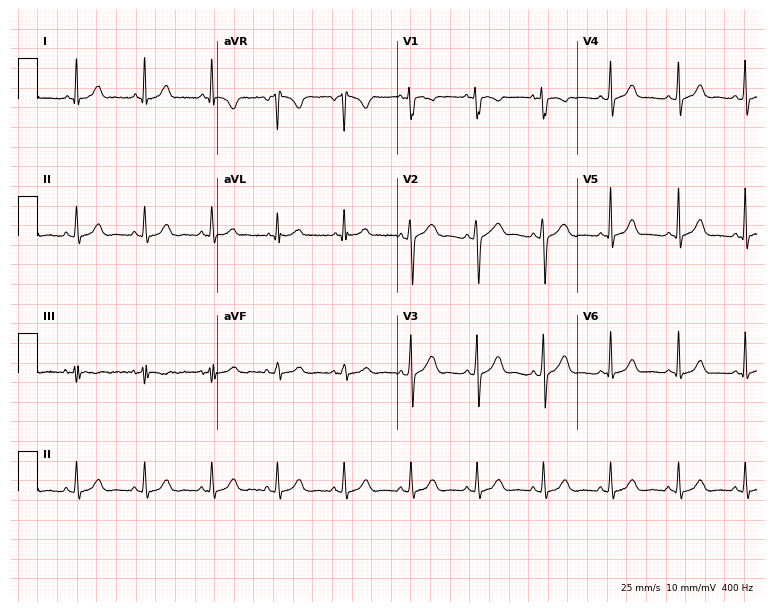
12-lead ECG from a woman, 26 years old. No first-degree AV block, right bundle branch block, left bundle branch block, sinus bradycardia, atrial fibrillation or sinus tachycardia recorded for this tracing.